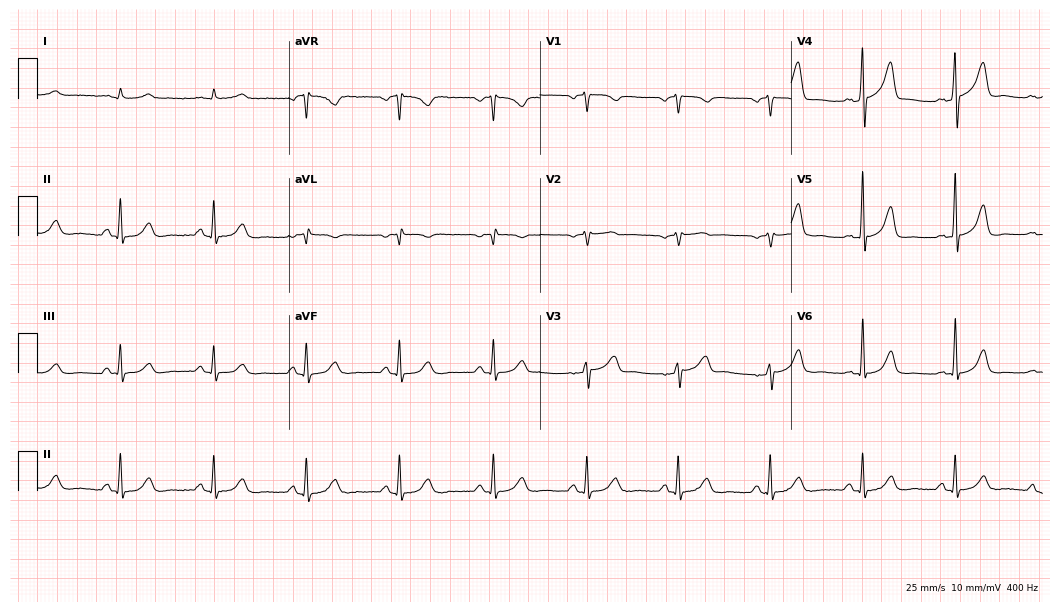
Standard 12-lead ECG recorded from an 82-year-old male (10.2-second recording at 400 Hz). Read as a normal ECG.